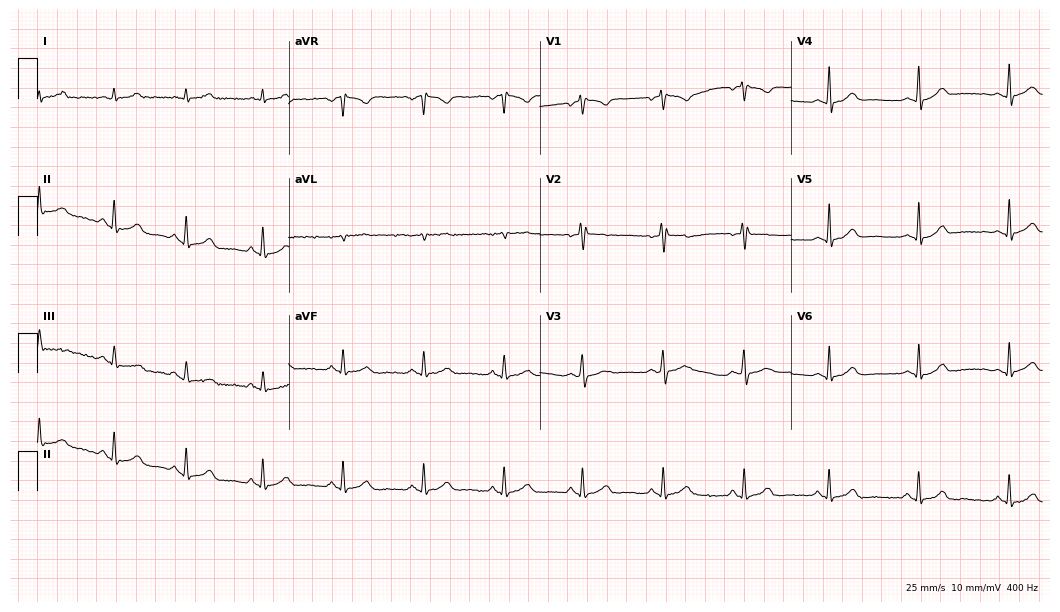
Resting 12-lead electrocardiogram (10.2-second recording at 400 Hz). Patient: a female, 24 years old. Read as a normal ECG.